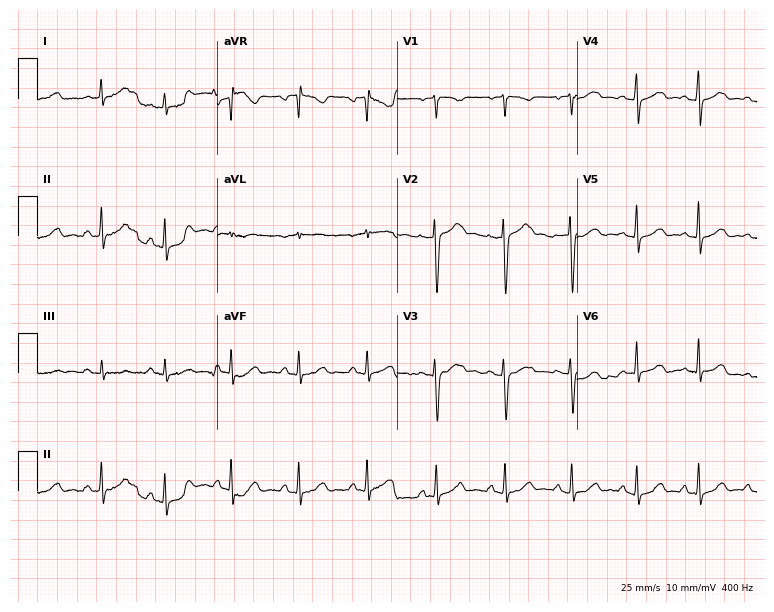
12-lead ECG (7.3-second recording at 400 Hz) from a 34-year-old woman. Screened for six findings — first-degree AV block, right bundle branch block, left bundle branch block, sinus bradycardia, atrial fibrillation, sinus tachycardia — none is recorded.